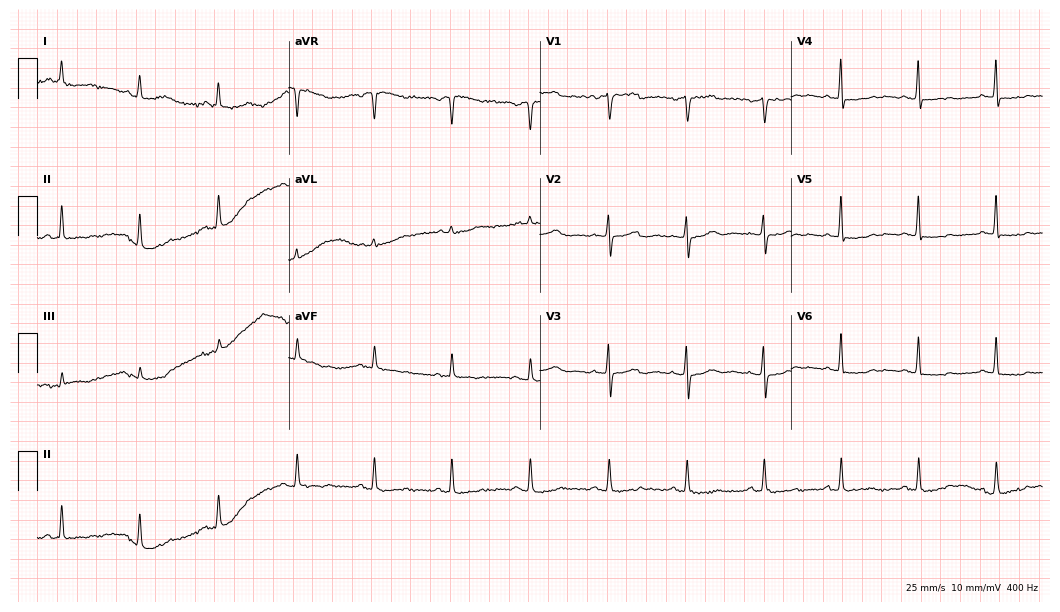
12-lead ECG from a 66-year-old female patient (10.2-second recording at 400 Hz). No first-degree AV block, right bundle branch block, left bundle branch block, sinus bradycardia, atrial fibrillation or sinus tachycardia recorded for this tracing.